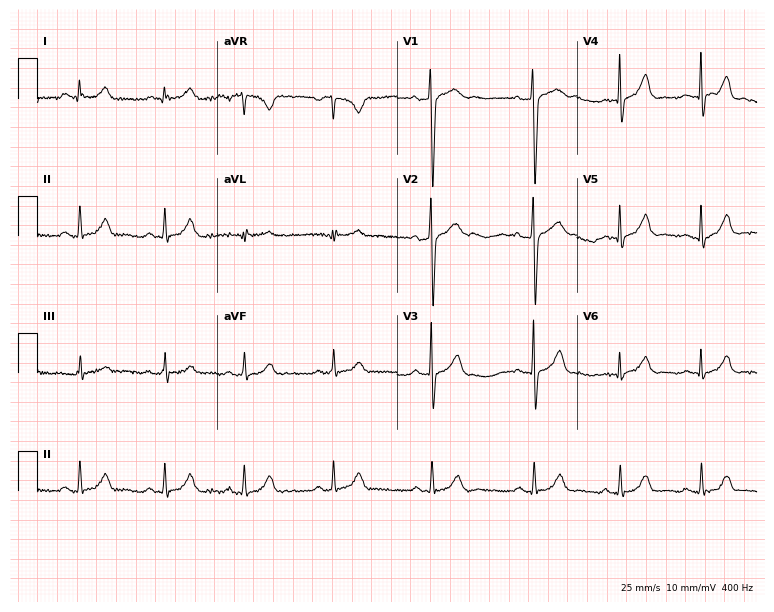
ECG (7.3-second recording at 400 Hz) — an 18-year-old female. Labelled as a normal ECG.